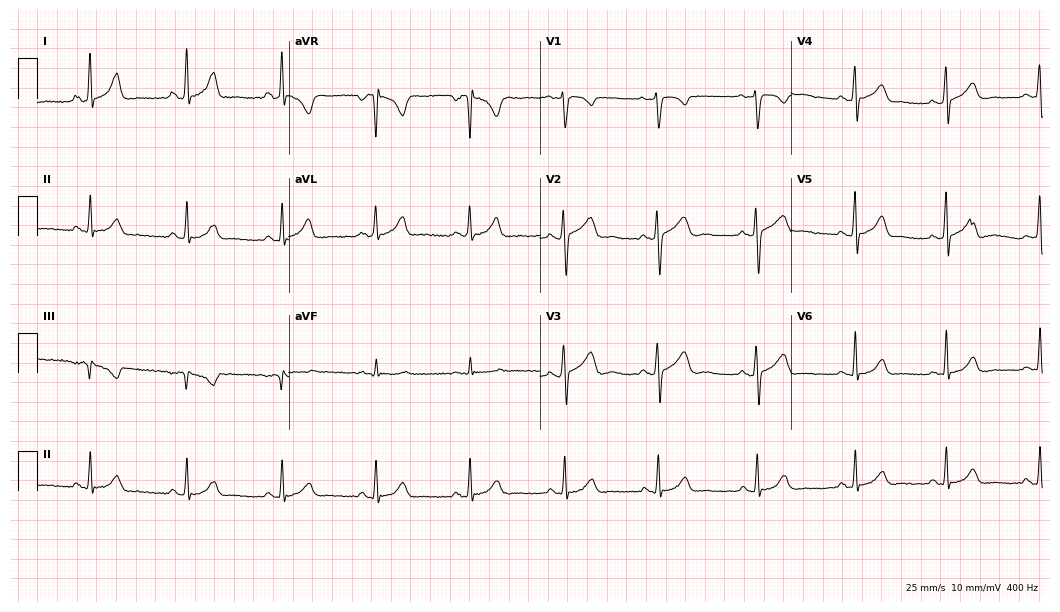
Electrocardiogram (10.2-second recording at 400 Hz), a female, 25 years old. Of the six screened findings (first-degree AV block, right bundle branch block, left bundle branch block, sinus bradycardia, atrial fibrillation, sinus tachycardia), none is recorded.